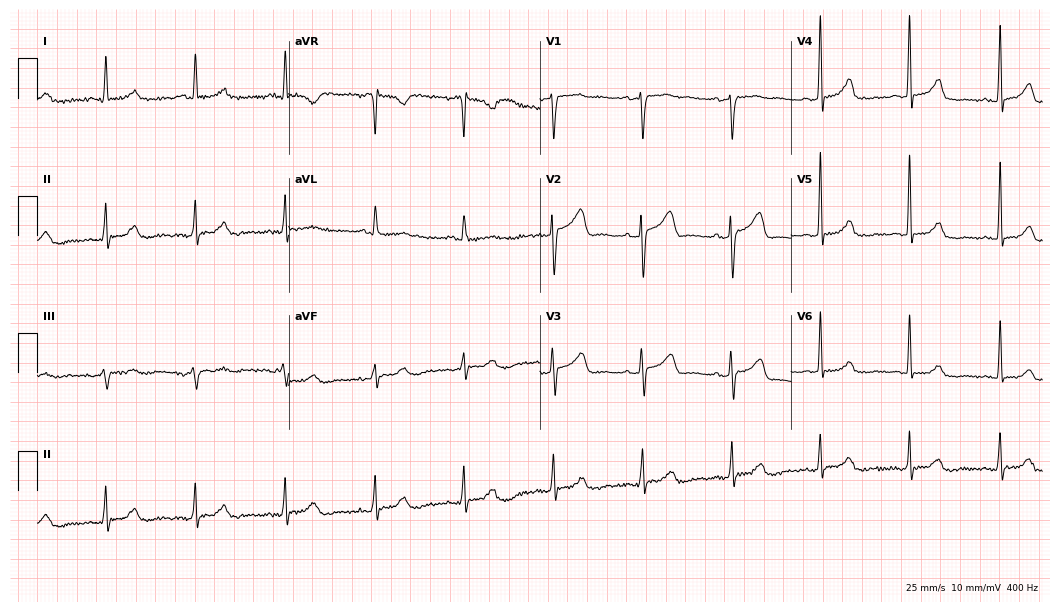
Standard 12-lead ECG recorded from a female, 52 years old. None of these six findings is recorded: first-degree AV block, right bundle branch block, left bundle branch block, sinus bradycardia, atrial fibrillation, sinus tachycardia. Findings outside these six are not listed.